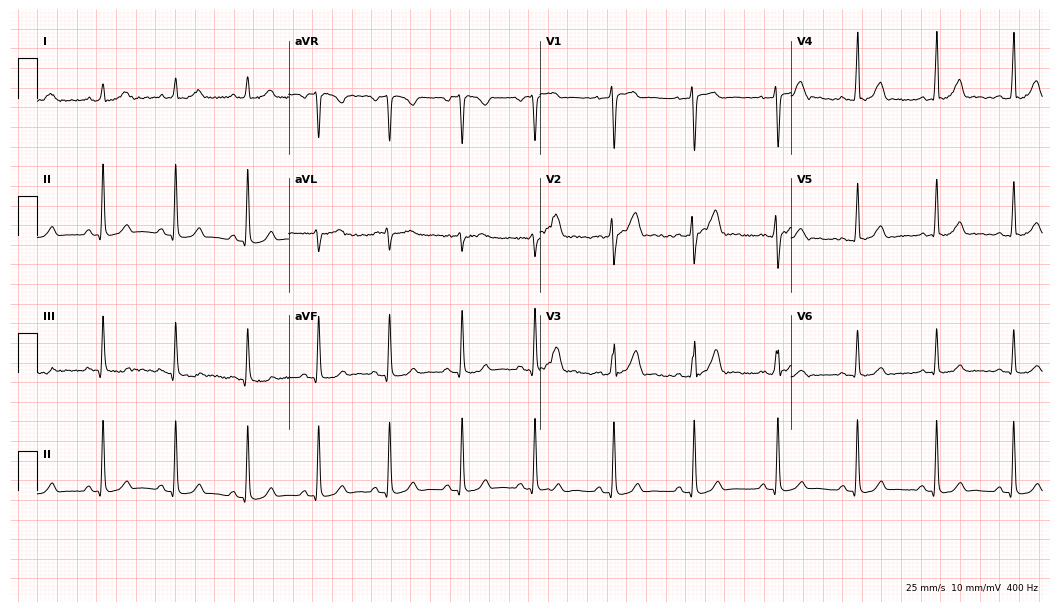
ECG — a 29-year-old man. Labelled as a normal ECG.